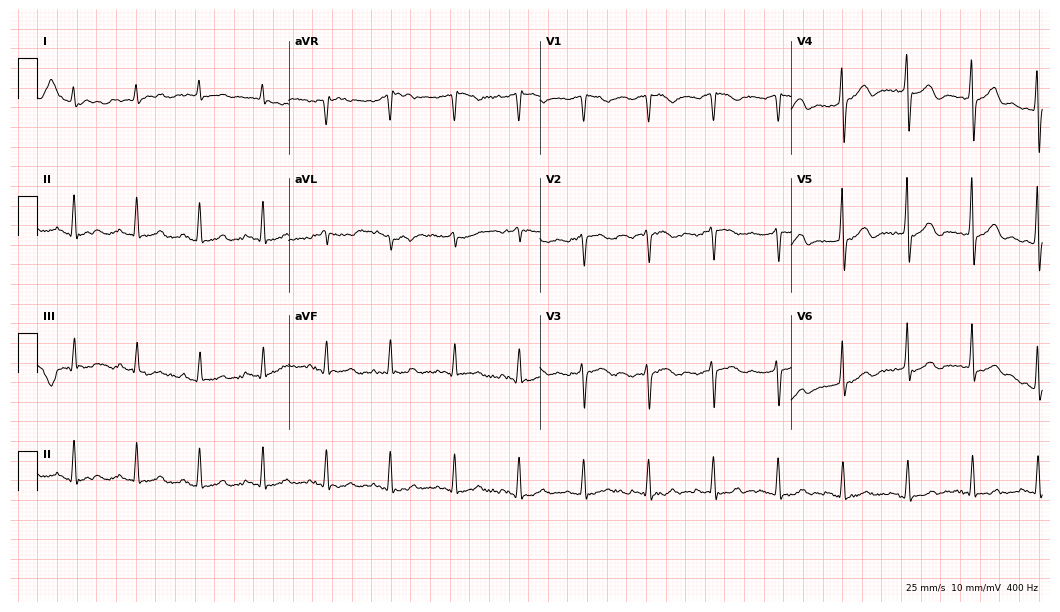
12-lead ECG from an 81-year-old male patient. Labelled as a normal ECG.